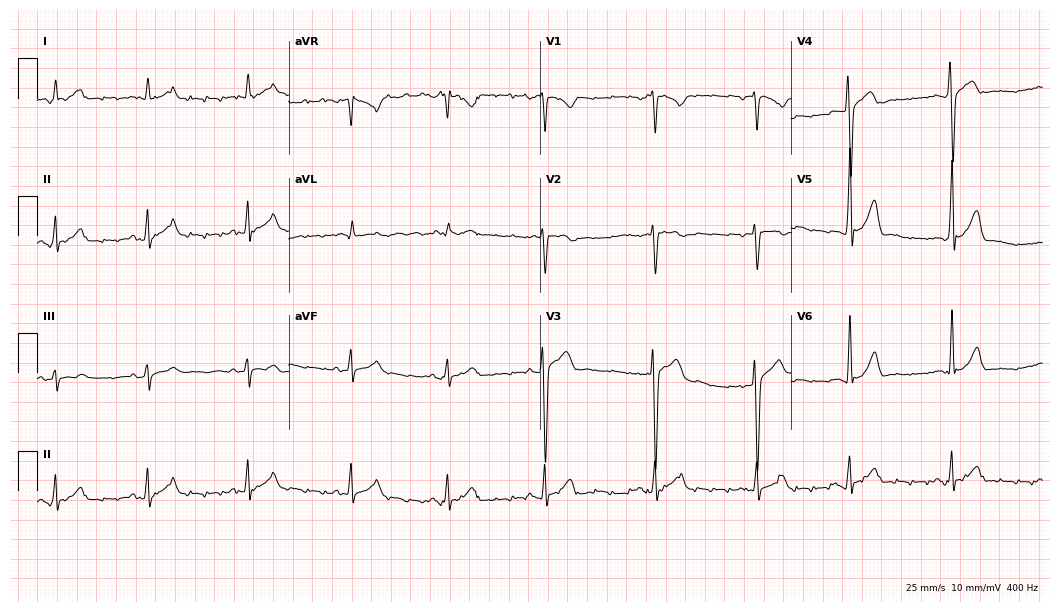
Standard 12-lead ECG recorded from a 34-year-old male (10.2-second recording at 400 Hz). Read as a normal ECG.